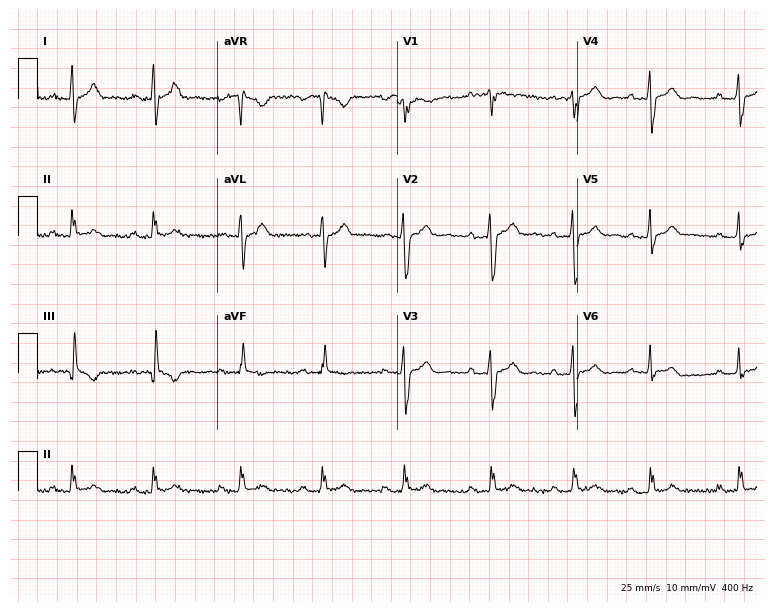
Resting 12-lead electrocardiogram (7.3-second recording at 400 Hz). Patient: an 18-year-old male. None of these six findings is recorded: first-degree AV block, right bundle branch block (RBBB), left bundle branch block (LBBB), sinus bradycardia, atrial fibrillation (AF), sinus tachycardia.